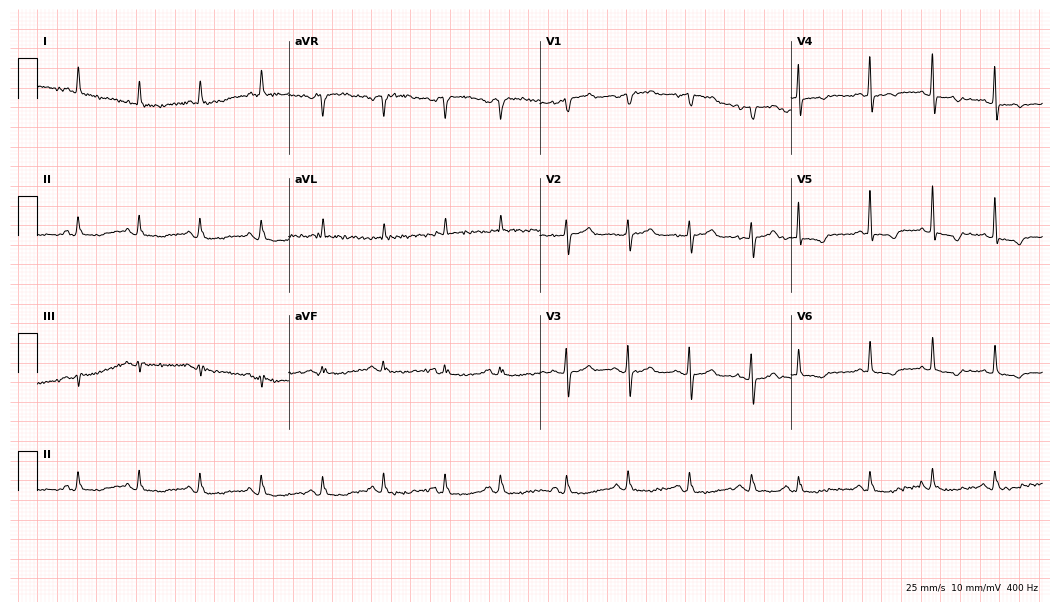
12-lead ECG from a 78-year-old female. No first-degree AV block, right bundle branch block, left bundle branch block, sinus bradycardia, atrial fibrillation or sinus tachycardia recorded for this tracing. Only these six findings were labelled.